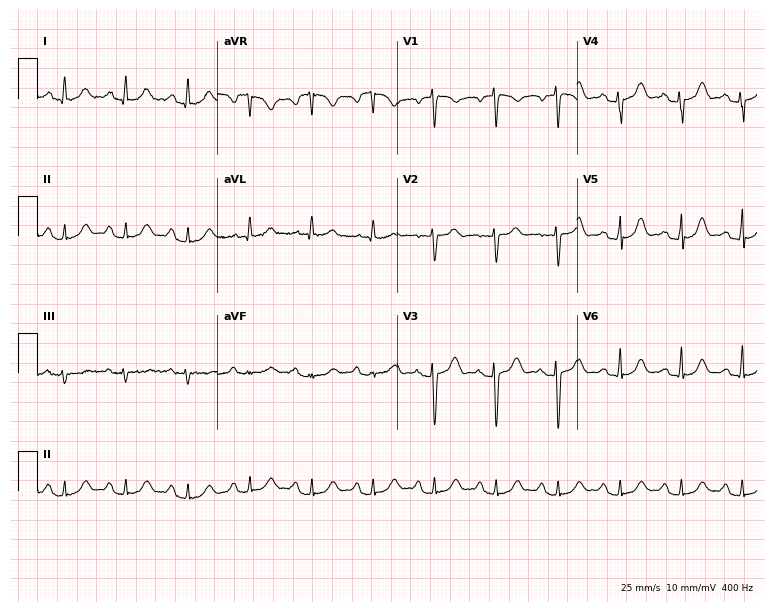
12-lead ECG from a 34-year-old female patient. Labelled as a normal ECG.